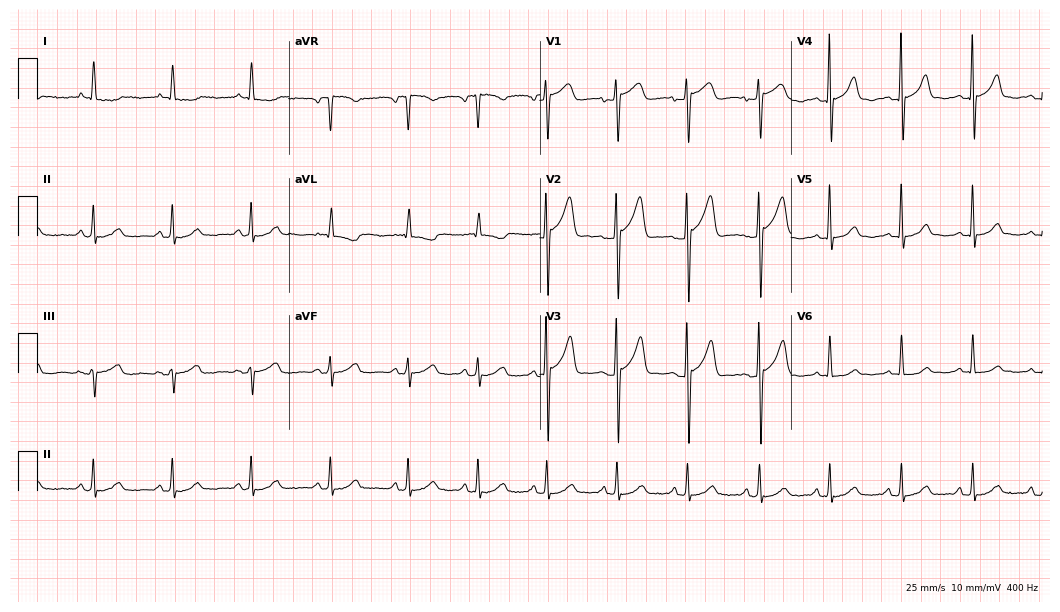
12-lead ECG (10.2-second recording at 400 Hz) from a 56-year-old woman. Labelled as a normal ECG.